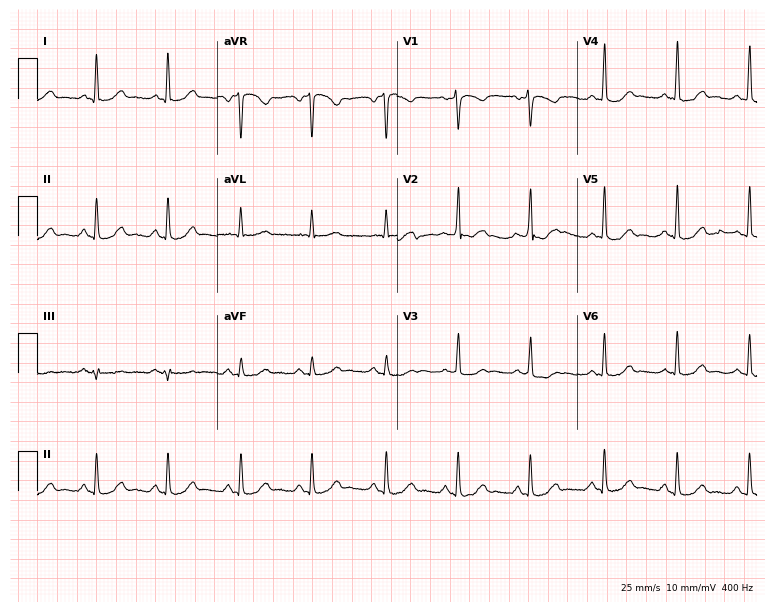
12-lead ECG from a female patient, 59 years old. Recorded interpretation: within normal limits.